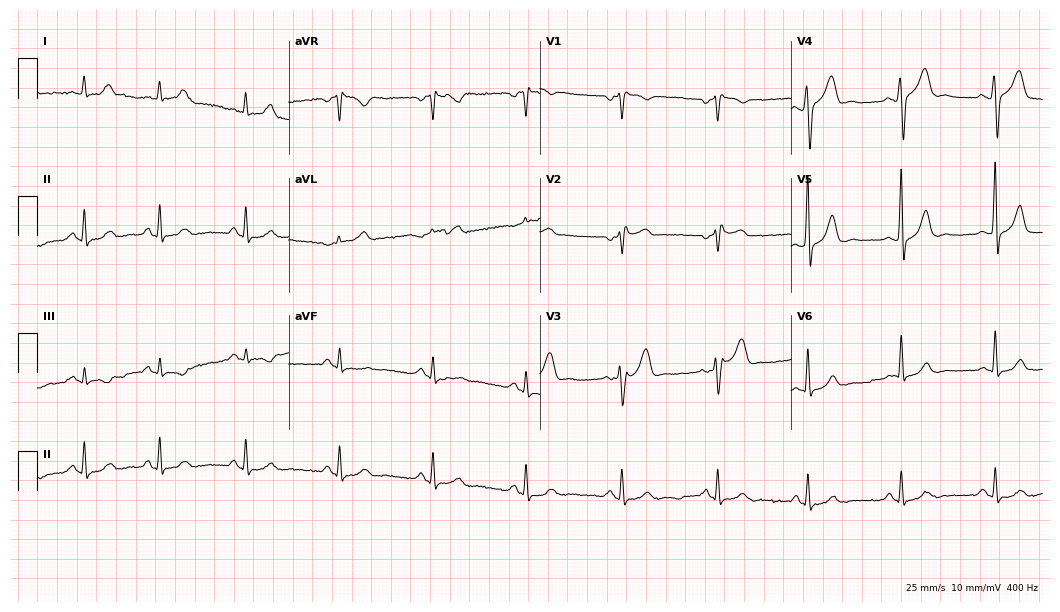
Electrocardiogram, a male, 51 years old. Of the six screened findings (first-degree AV block, right bundle branch block, left bundle branch block, sinus bradycardia, atrial fibrillation, sinus tachycardia), none is recorded.